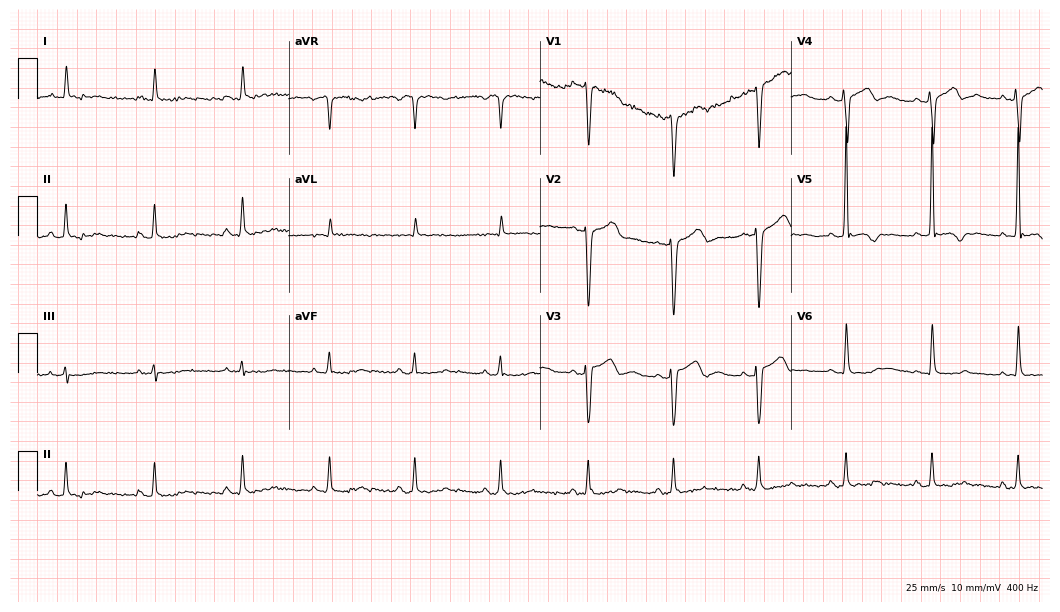
Electrocardiogram (10.2-second recording at 400 Hz), a male patient, 69 years old. Of the six screened findings (first-degree AV block, right bundle branch block, left bundle branch block, sinus bradycardia, atrial fibrillation, sinus tachycardia), none is recorded.